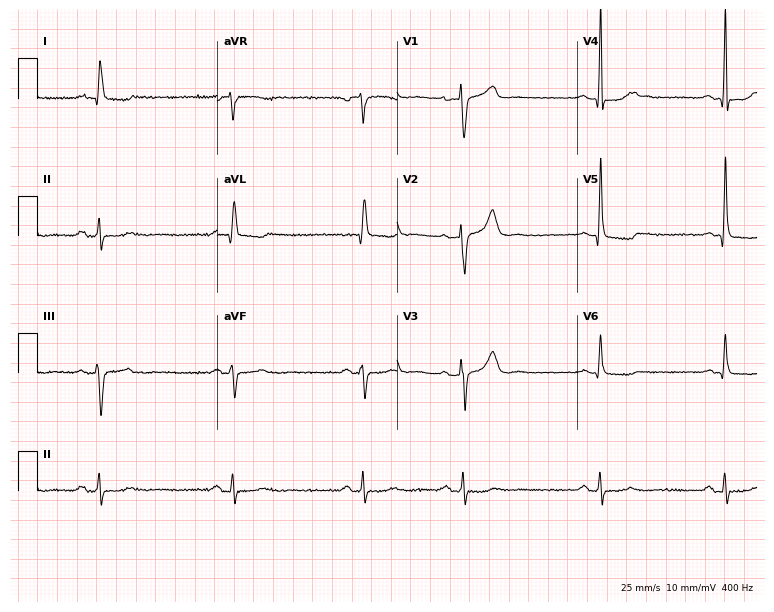
Standard 12-lead ECG recorded from a man, 82 years old (7.3-second recording at 400 Hz). The tracing shows sinus bradycardia (a sinus rate of 50 beats per minute or less).